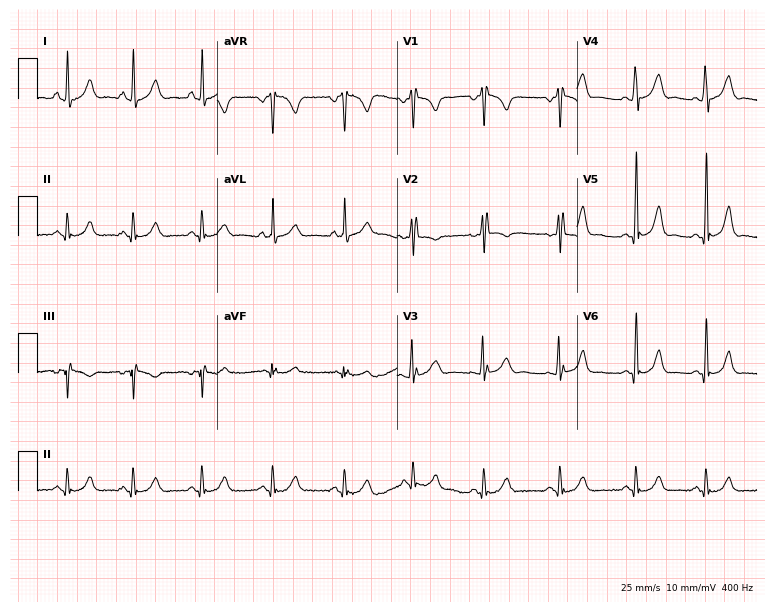
Electrocardiogram, a female patient, 24 years old. Overall reading on record: normal ECG.